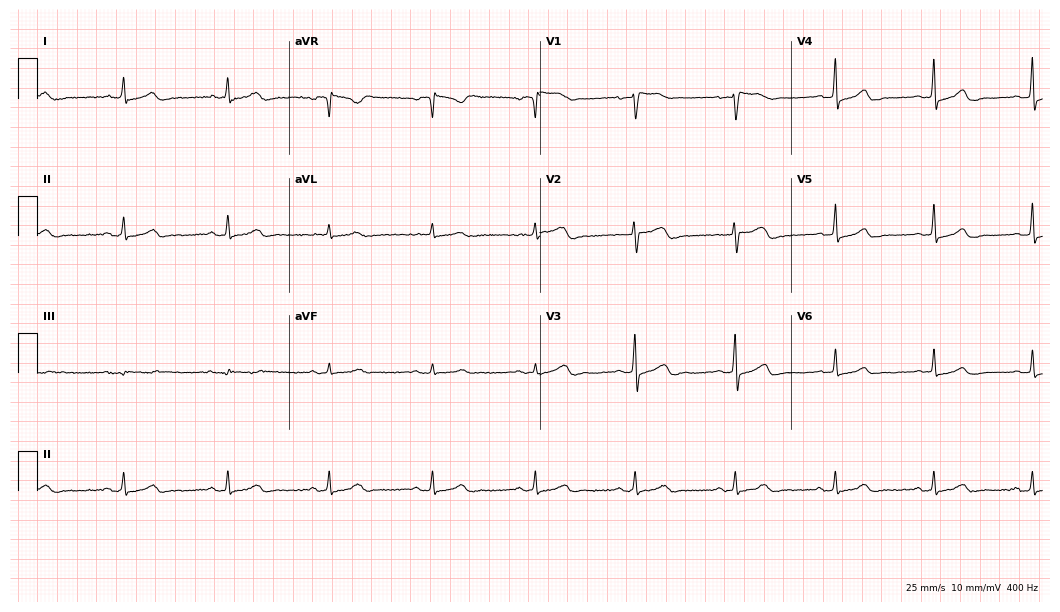
Standard 12-lead ECG recorded from a 57-year-old woman (10.2-second recording at 400 Hz). None of these six findings is recorded: first-degree AV block, right bundle branch block, left bundle branch block, sinus bradycardia, atrial fibrillation, sinus tachycardia. Other findings, if any, are not listed.